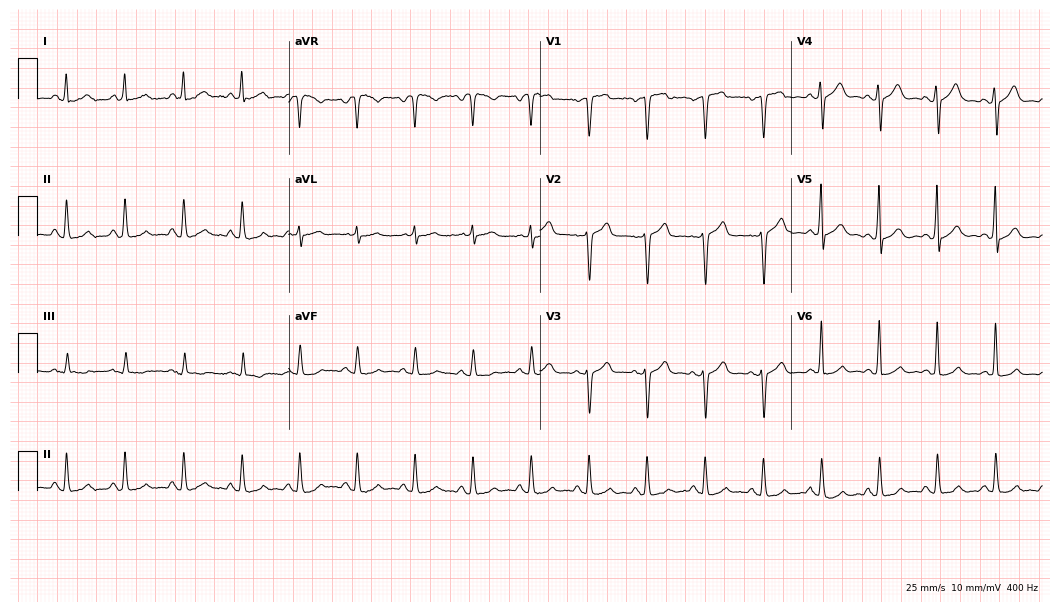
Electrocardiogram (10.2-second recording at 400 Hz), a 67-year-old man. Interpretation includes sinus tachycardia (a sinus rate of 100 beats per minute or more).